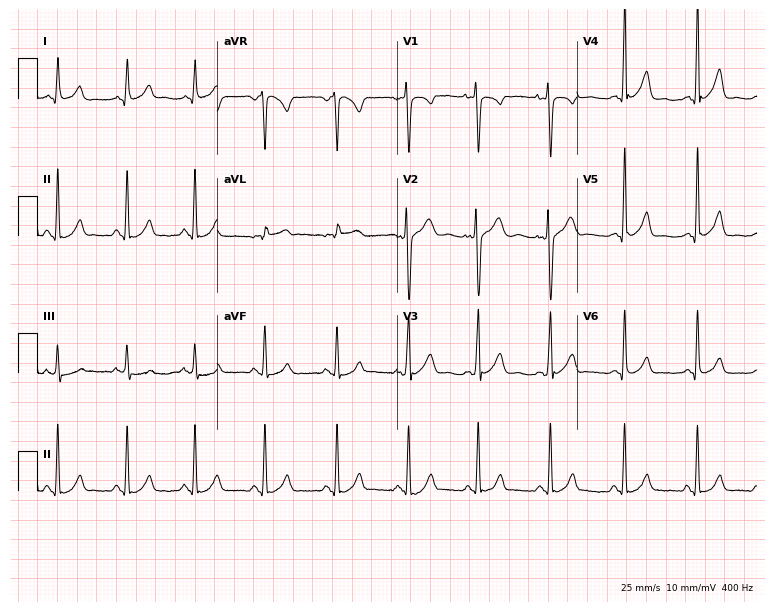
Standard 12-lead ECG recorded from a female, 33 years old. None of these six findings is recorded: first-degree AV block, right bundle branch block (RBBB), left bundle branch block (LBBB), sinus bradycardia, atrial fibrillation (AF), sinus tachycardia. Findings outside these six are not listed.